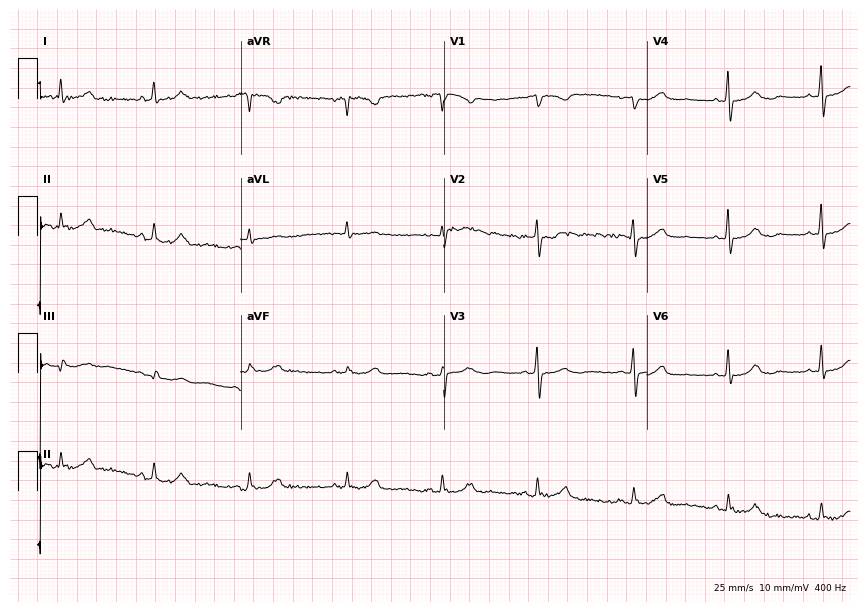
Resting 12-lead electrocardiogram (8.3-second recording at 400 Hz). Patient: a 76-year-old female. Read as a normal ECG.